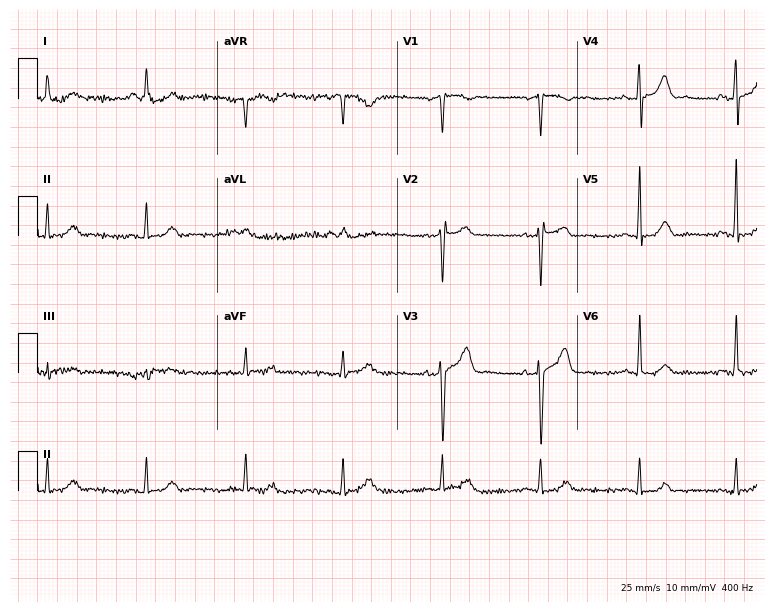
Electrocardiogram (7.3-second recording at 400 Hz), a man, 74 years old. Overall reading on record: normal ECG.